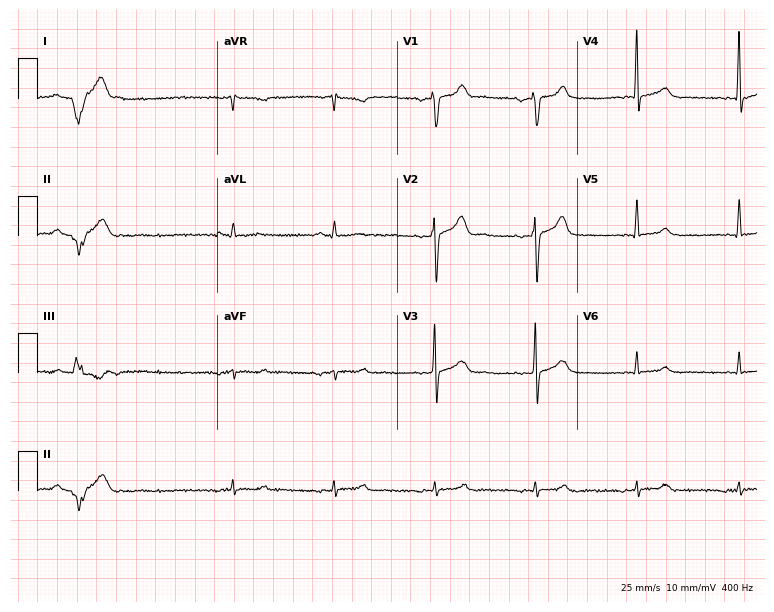
Resting 12-lead electrocardiogram. Patient: a 45-year-old man. None of these six findings is recorded: first-degree AV block, right bundle branch block, left bundle branch block, sinus bradycardia, atrial fibrillation, sinus tachycardia. Findings outside these six are not listed.